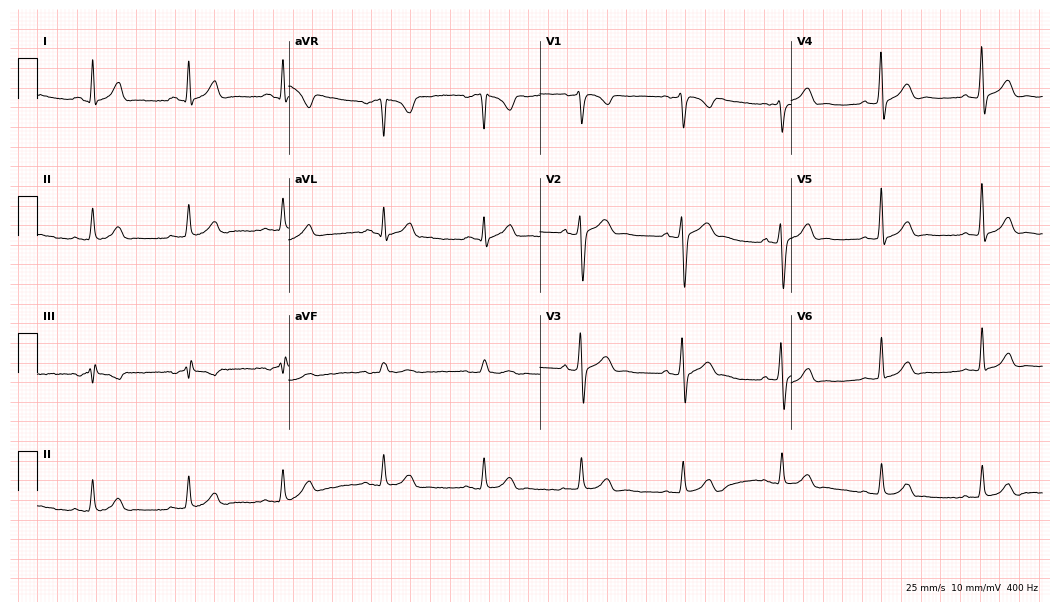
Resting 12-lead electrocardiogram. Patient: a 31-year-old man. None of these six findings is recorded: first-degree AV block, right bundle branch block, left bundle branch block, sinus bradycardia, atrial fibrillation, sinus tachycardia.